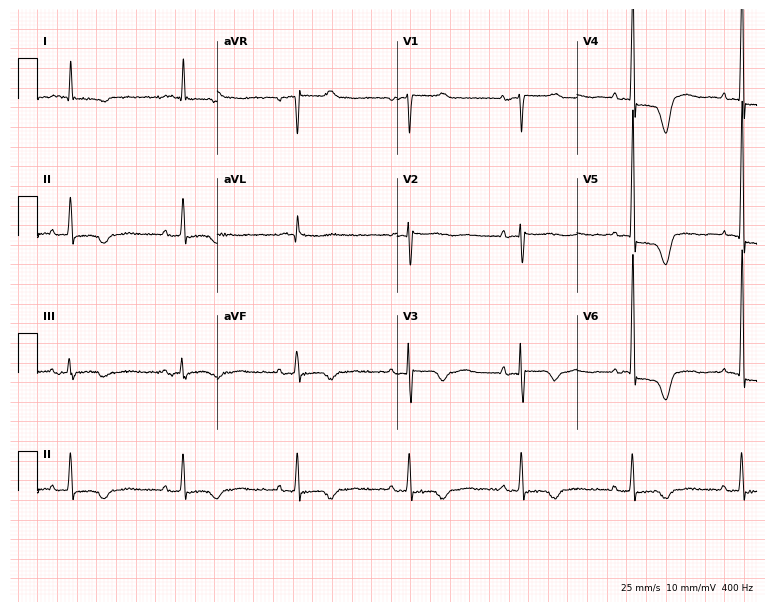
Resting 12-lead electrocardiogram. Patient: a 79-year-old woman. None of these six findings is recorded: first-degree AV block, right bundle branch block, left bundle branch block, sinus bradycardia, atrial fibrillation, sinus tachycardia. Only these six findings were labelled.